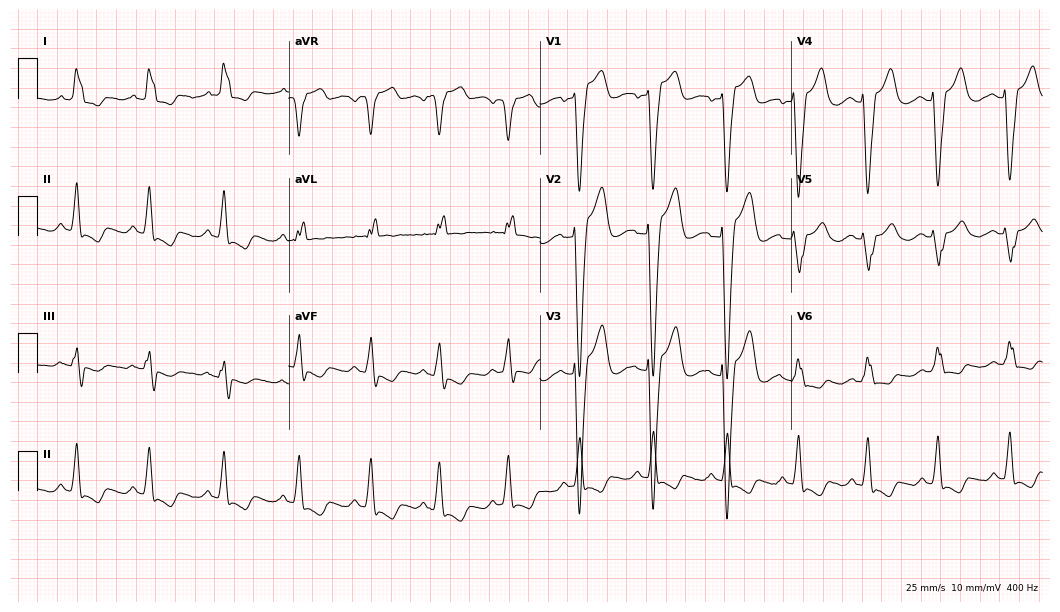
Standard 12-lead ECG recorded from a 60-year-old female patient (10.2-second recording at 400 Hz). The tracing shows left bundle branch block.